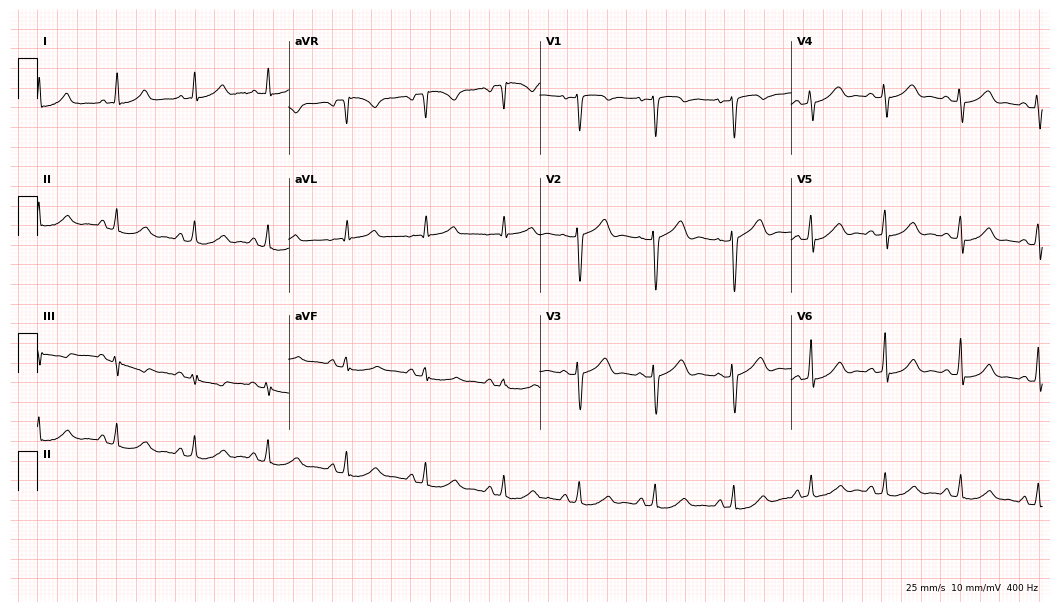
Electrocardiogram (10.2-second recording at 400 Hz), a 43-year-old female. Of the six screened findings (first-degree AV block, right bundle branch block, left bundle branch block, sinus bradycardia, atrial fibrillation, sinus tachycardia), none is recorded. Findings outside these six are not listed.